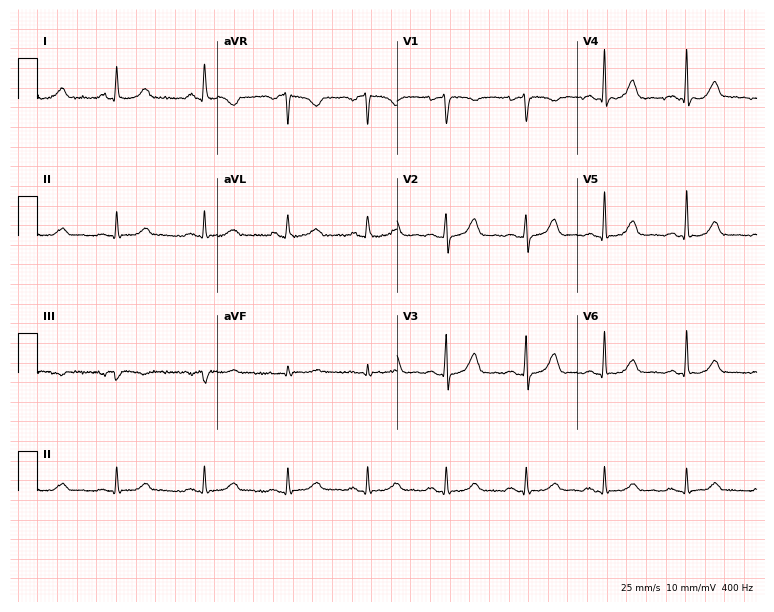
12-lead ECG from a 49-year-old female patient (7.3-second recording at 400 Hz). Recorded interpretation: within normal limits.